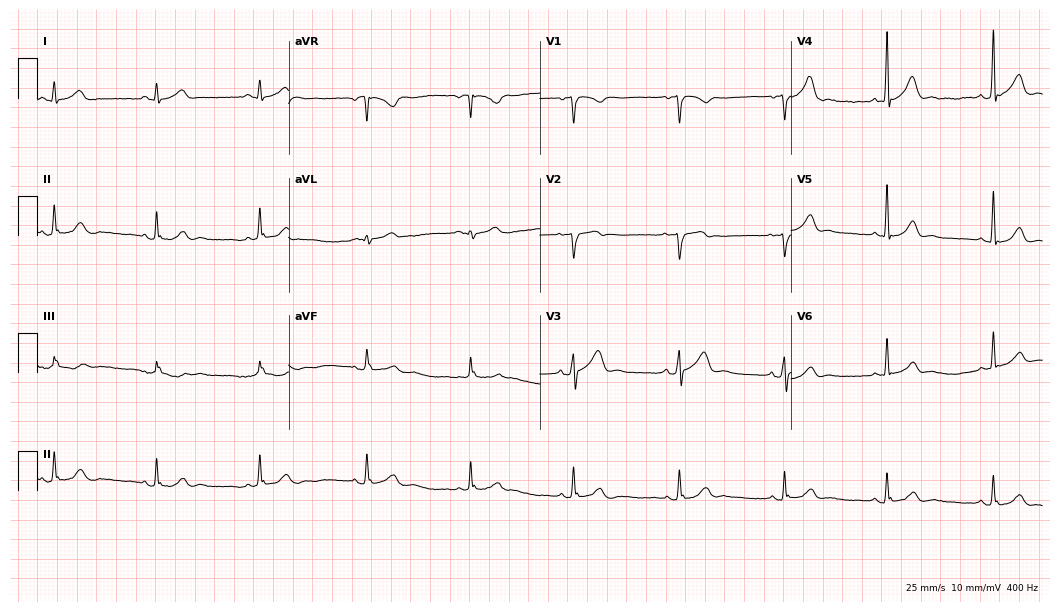
Electrocardiogram, a man, 44 years old. Overall reading on record: normal ECG.